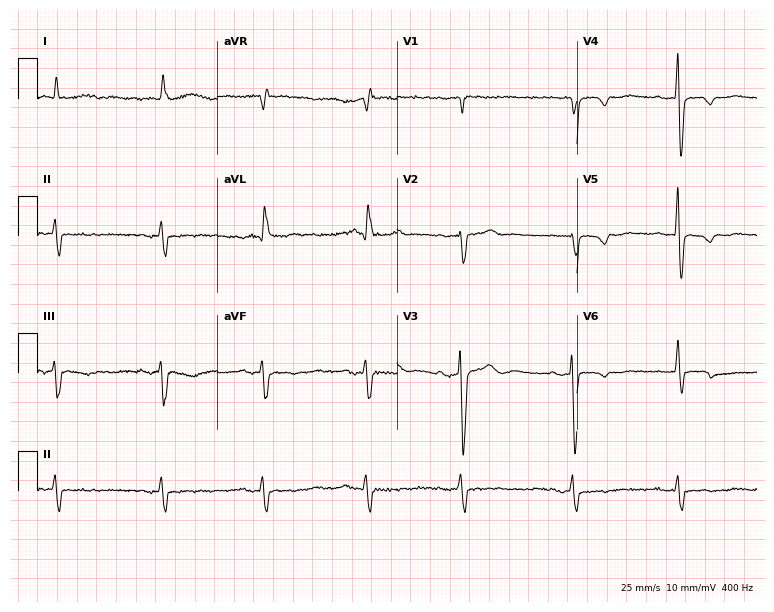
ECG — a male, 84 years old. Screened for six findings — first-degree AV block, right bundle branch block, left bundle branch block, sinus bradycardia, atrial fibrillation, sinus tachycardia — none is recorded. Findings outside these six are not listed.